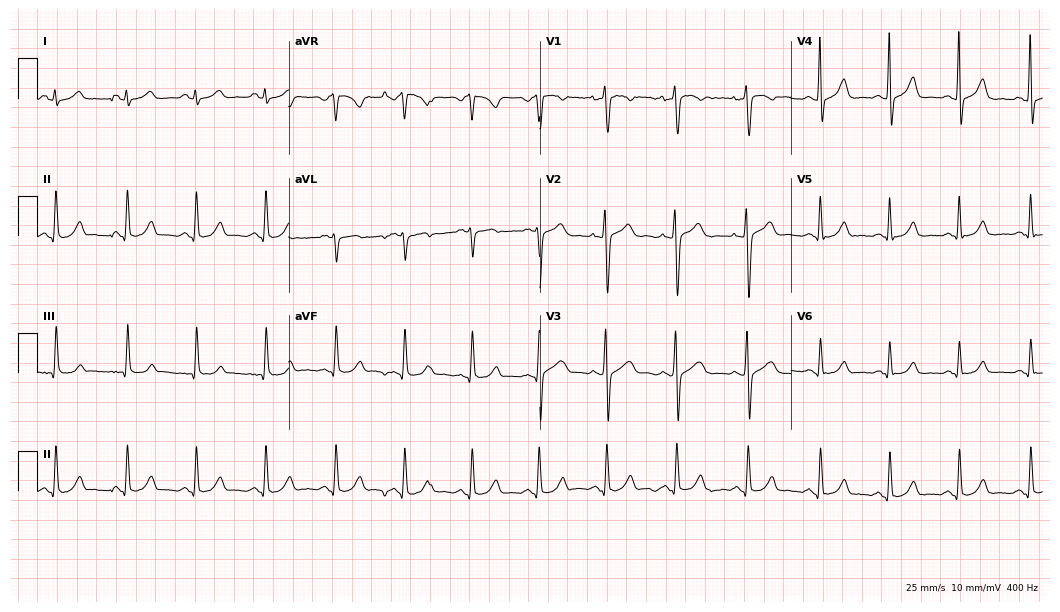
12-lead ECG (10.2-second recording at 400 Hz) from a woman, 35 years old. Labelled as a normal ECG.